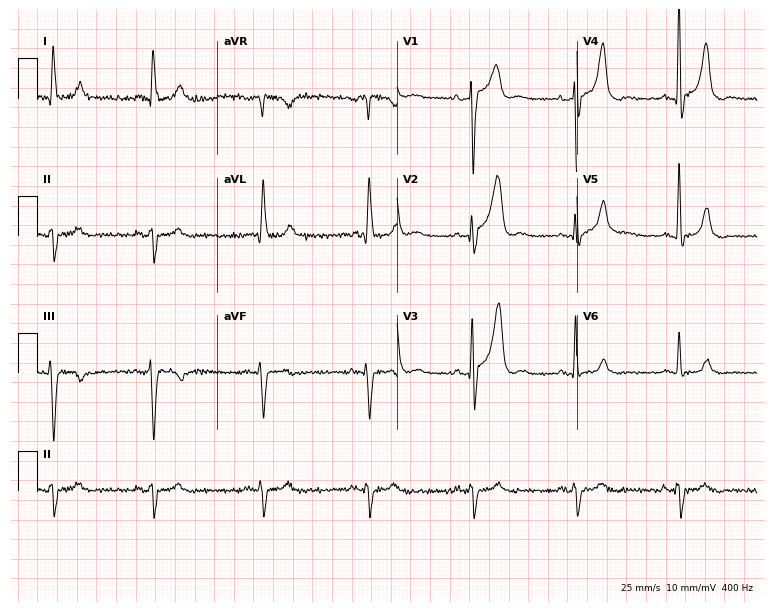
Electrocardiogram (7.3-second recording at 400 Hz), a 76-year-old male. Of the six screened findings (first-degree AV block, right bundle branch block, left bundle branch block, sinus bradycardia, atrial fibrillation, sinus tachycardia), none is recorded.